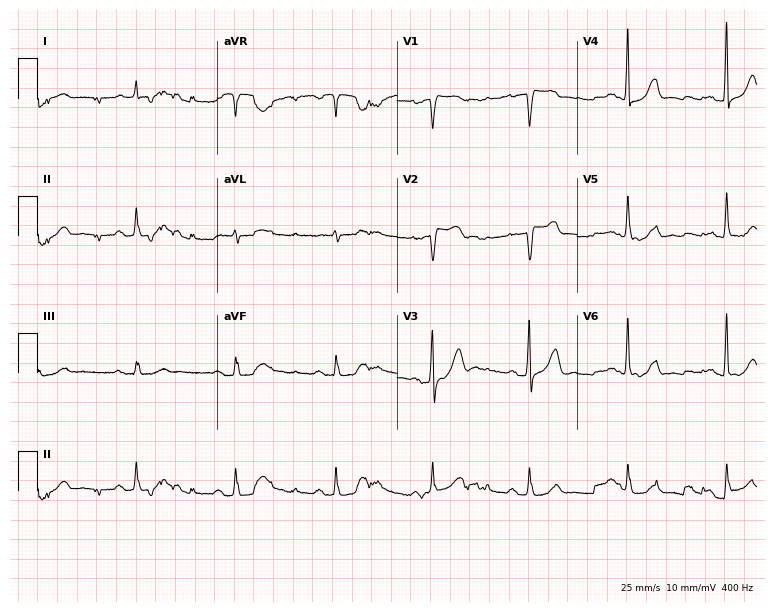
12-lead ECG from an 83-year-old male patient (7.3-second recording at 400 Hz). Recorded interpretation: within normal limits.